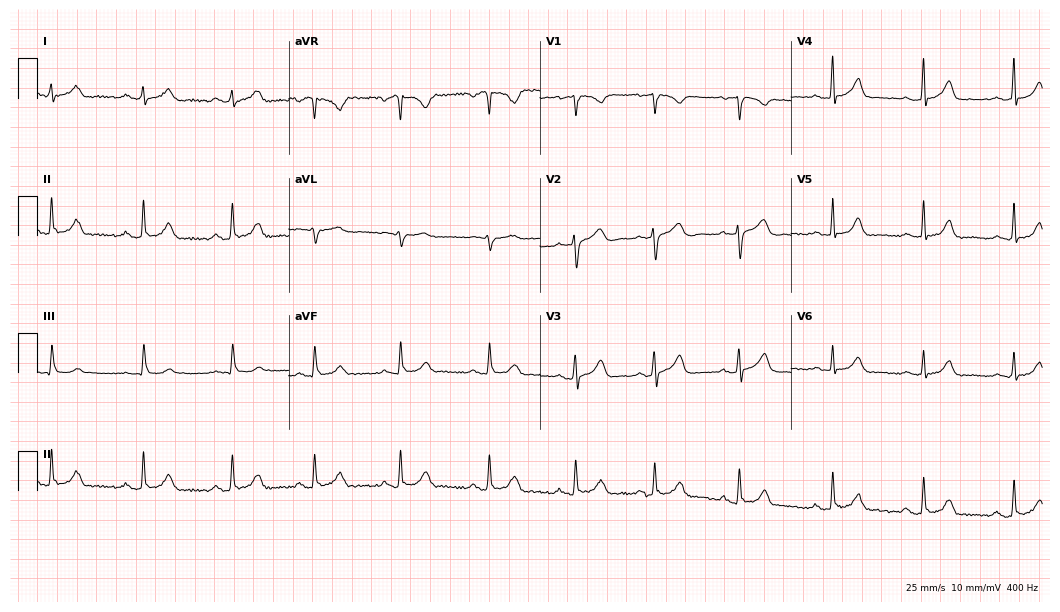
Standard 12-lead ECG recorded from a 27-year-old woman (10.2-second recording at 400 Hz). None of these six findings is recorded: first-degree AV block, right bundle branch block, left bundle branch block, sinus bradycardia, atrial fibrillation, sinus tachycardia.